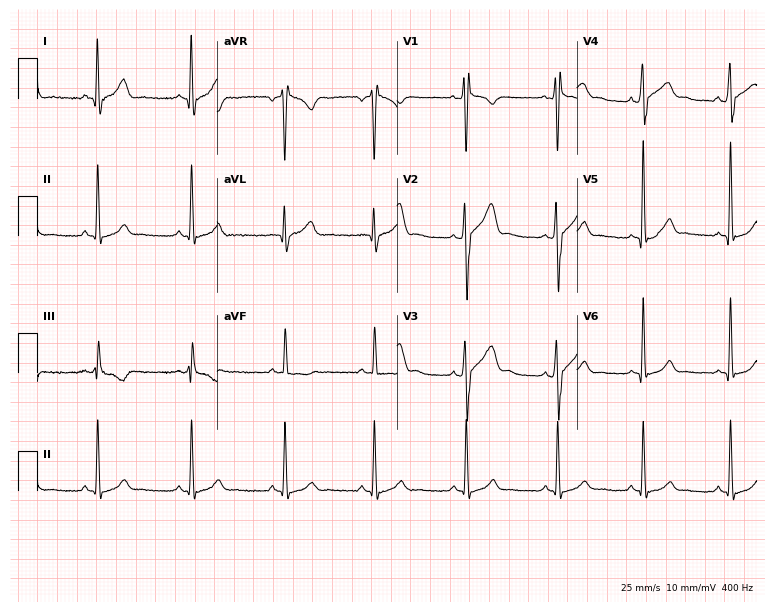
ECG (7.3-second recording at 400 Hz) — a 22-year-old male patient. Screened for six findings — first-degree AV block, right bundle branch block, left bundle branch block, sinus bradycardia, atrial fibrillation, sinus tachycardia — none is recorded. Only these six findings were labelled.